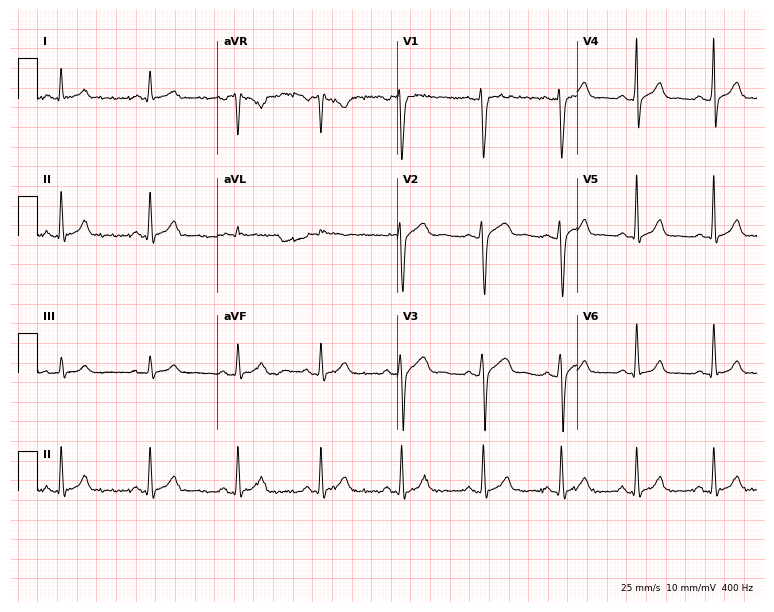
12-lead ECG from a 32-year-old man (7.3-second recording at 400 Hz). No first-degree AV block, right bundle branch block, left bundle branch block, sinus bradycardia, atrial fibrillation or sinus tachycardia recorded for this tracing.